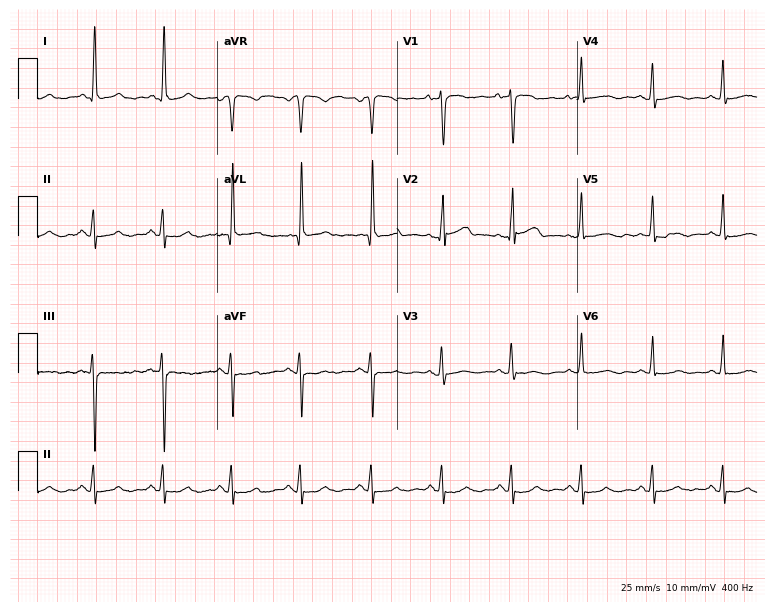
Resting 12-lead electrocardiogram (7.3-second recording at 400 Hz). Patient: a male, 59 years old. None of these six findings is recorded: first-degree AV block, right bundle branch block (RBBB), left bundle branch block (LBBB), sinus bradycardia, atrial fibrillation (AF), sinus tachycardia.